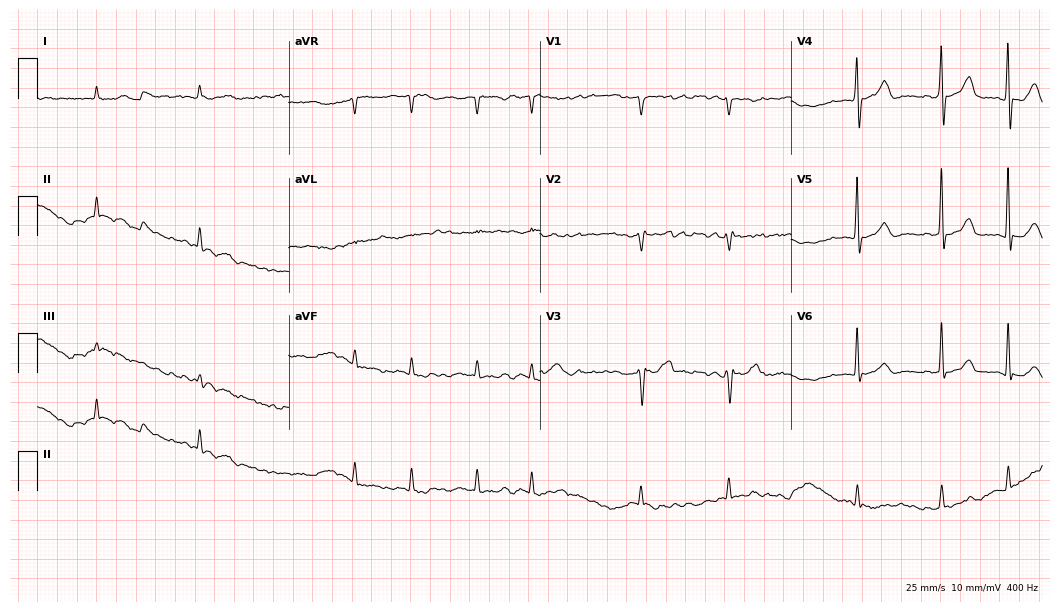
ECG (10.2-second recording at 400 Hz) — a man, 73 years old. Findings include atrial fibrillation (AF).